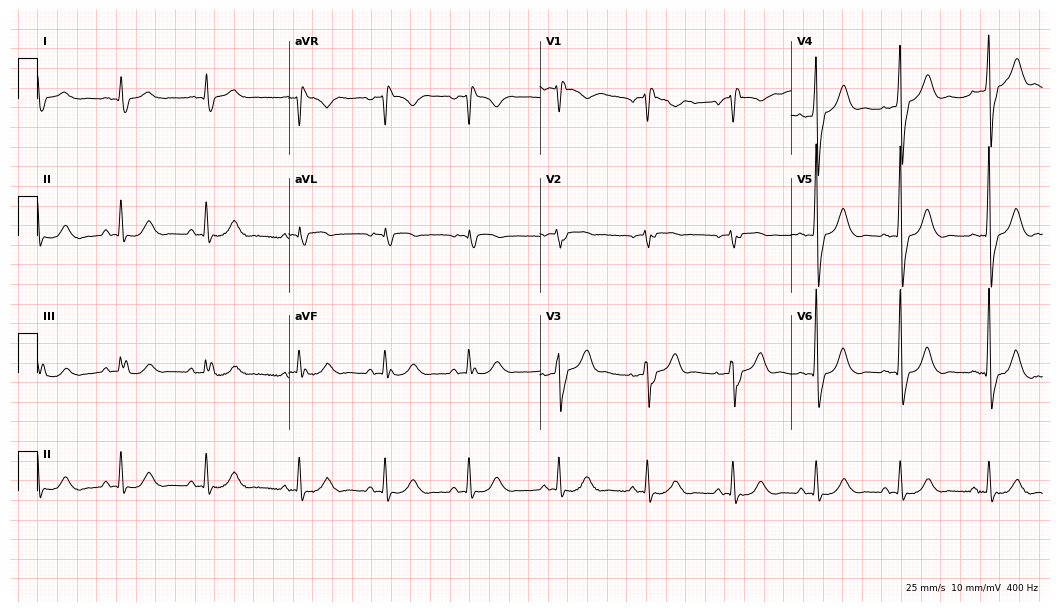
Electrocardiogram (10.2-second recording at 400 Hz), a 76-year-old man. Of the six screened findings (first-degree AV block, right bundle branch block, left bundle branch block, sinus bradycardia, atrial fibrillation, sinus tachycardia), none is recorded. Other findings, if any, are not listed.